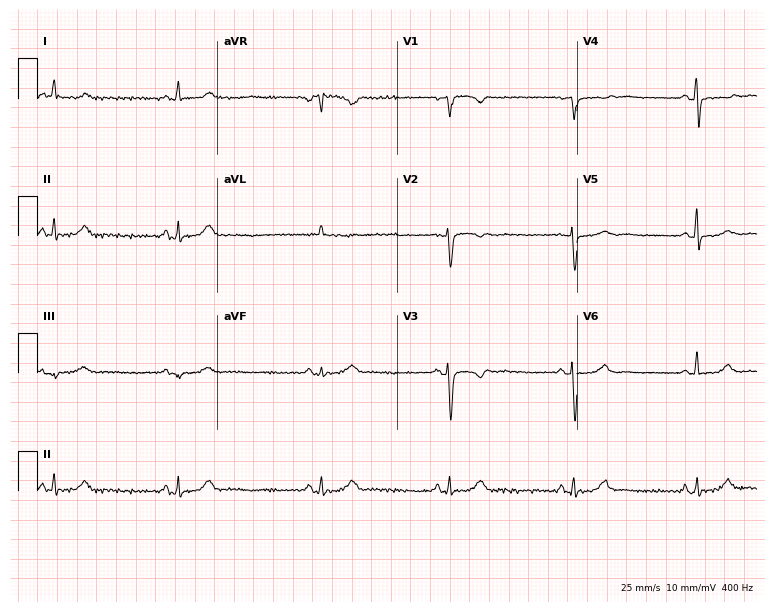
Standard 12-lead ECG recorded from a 60-year-old female (7.3-second recording at 400 Hz). None of these six findings is recorded: first-degree AV block, right bundle branch block (RBBB), left bundle branch block (LBBB), sinus bradycardia, atrial fibrillation (AF), sinus tachycardia.